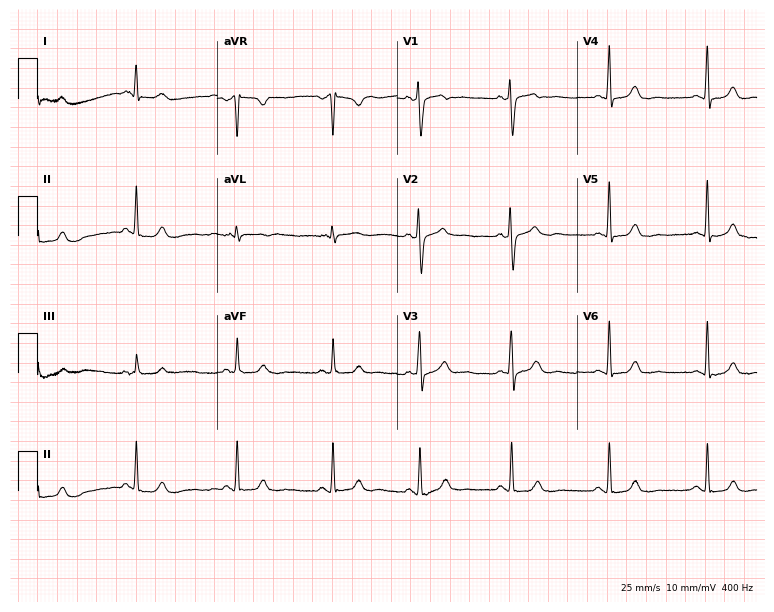
Standard 12-lead ECG recorded from a female patient, 29 years old. None of these six findings is recorded: first-degree AV block, right bundle branch block (RBBB), left bundle branch block (LBBB), sinus bradycardia, atrial fibrillation (AF), sinus tachycardia. Findings outside these six are not listed.